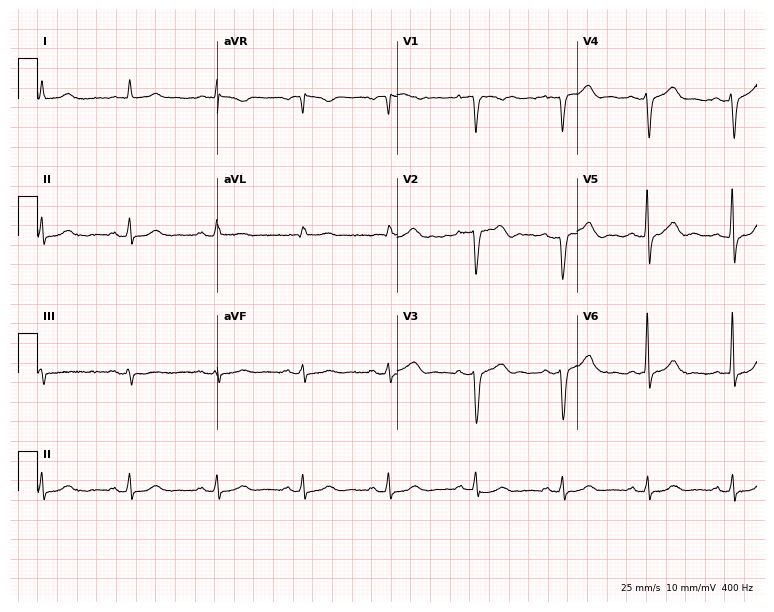
12-lead ECG (7.3-second recording at 400 Hz) from a 73-year-old male. Screened for six findings — first-degree AV block, right bundle branch block (RBBB), left bundle branch block (LBBB), sinus bradycardia, atrial fibrillation (AF), sinus tachycardia — none is recorded.